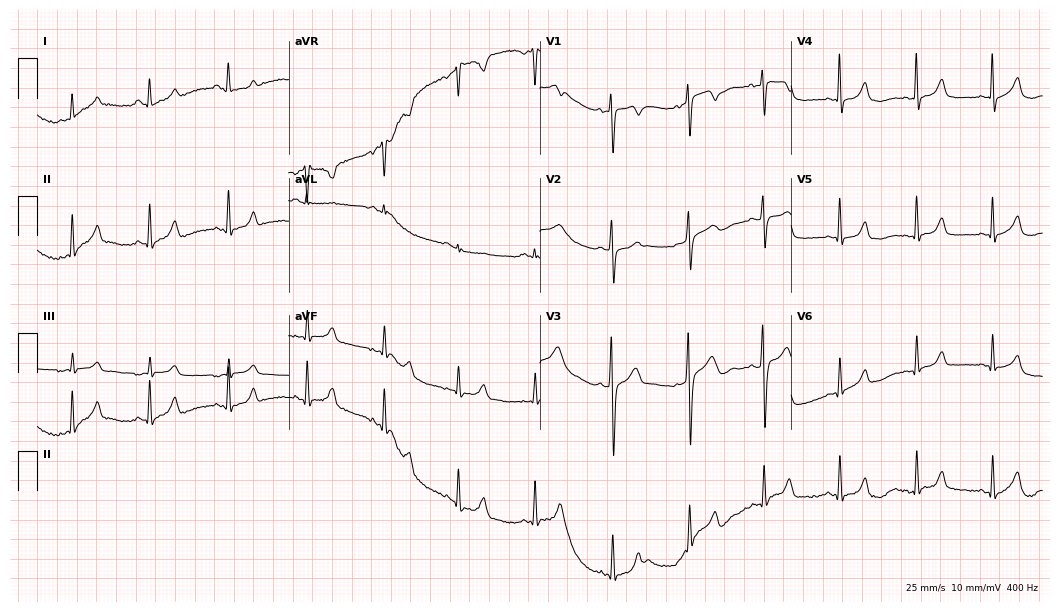
ECG (10.2-second recording at 400 Hz) — a woman, 20 years old. Screened for six findings — first-degree AV block, right bundle branch block, left bundle branch block, sinus bradycardia, atrial fibrillation, sinus tachycardia — none is recorded.